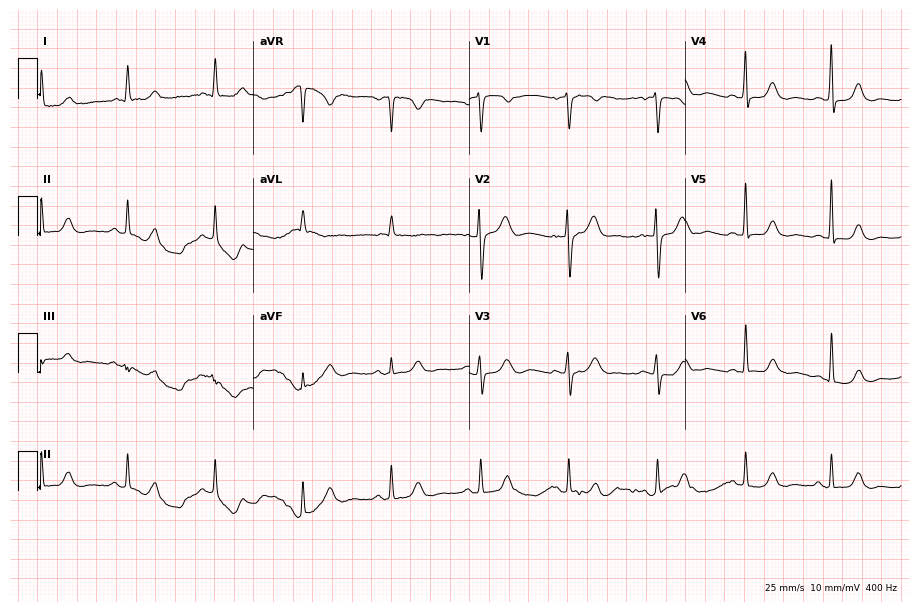
12-lead ECG from a 66-year-old female. Recorded interpretation: within normal limits.